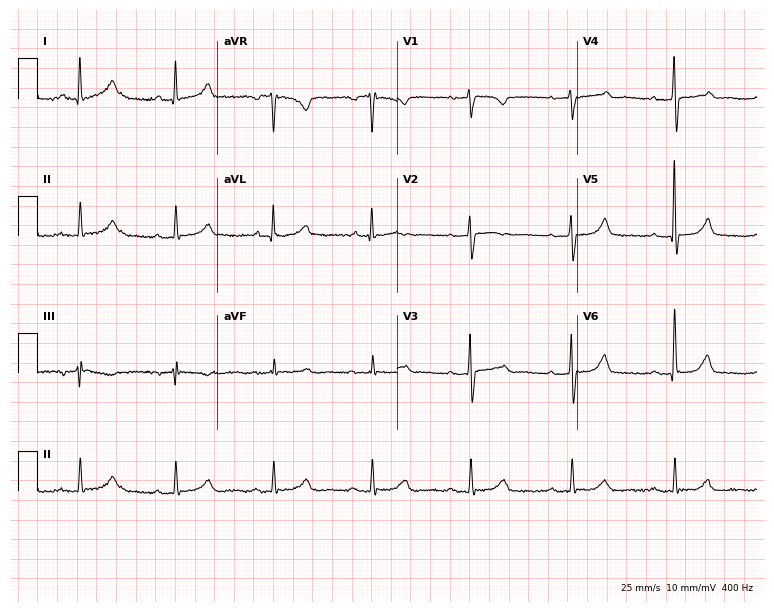
Resting 12-lead electrocardiogram (7.3-second recording at 400 Hz). Patient: a woman, 70 years old. Read as a normal ECG.